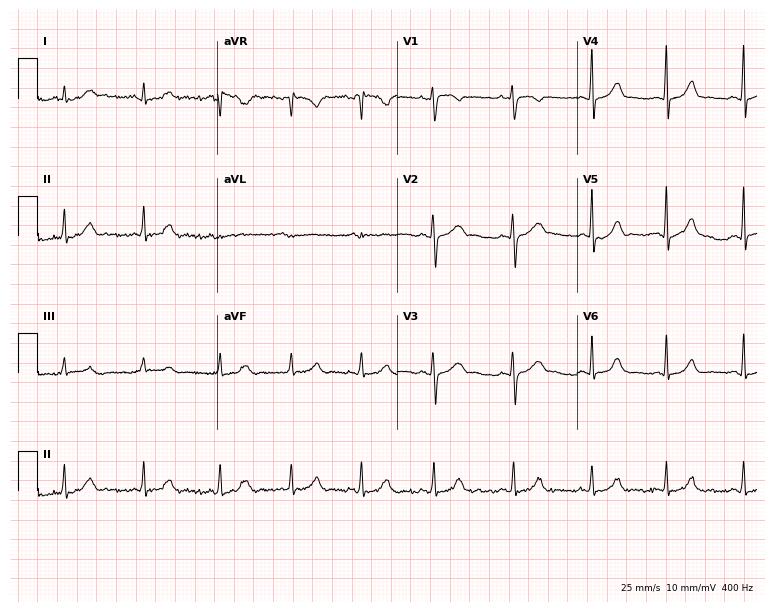
Standard 12-lead ECG recorded from a 38-year-old female patient. None of these six findings is recorded: first-degree AV block, right bundle branch block (RBBB), left bundle branch block (LBBB), sinus bradycardia, atrial fibrillation (AF), sinus tachycardia.